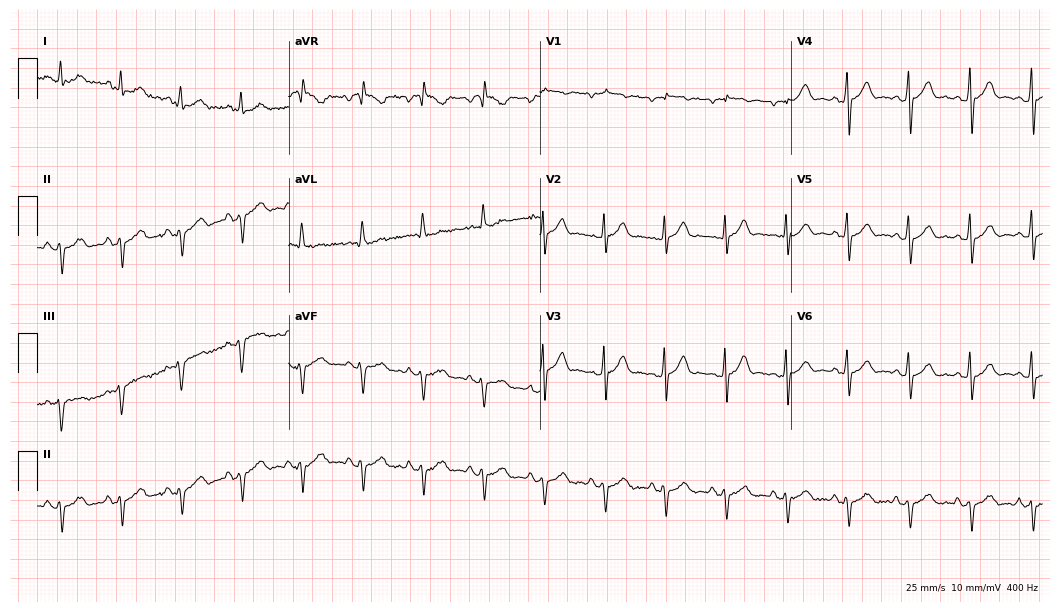
Standard 12-lead ECG recorded from a male, 35 years old. None of these six findings is recorded: first-degree AV block, right bundle branch block (RBBB), left bundle branch block (LBBB), sinus bradycardia, atrial fibrillation (AF), sinus tachycardia. Findings outside these six are not listed.